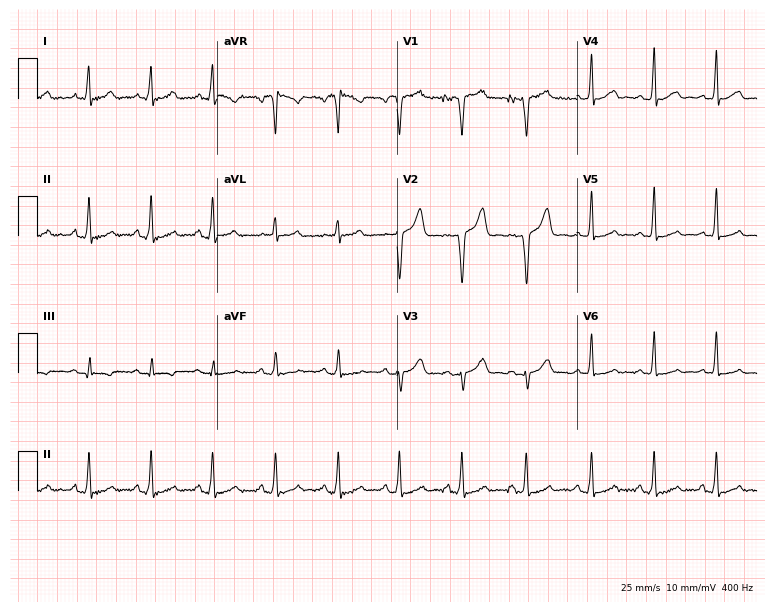
12-lead ECG from a 31-year-old female patient. Recorded interpretation: within normal limits.